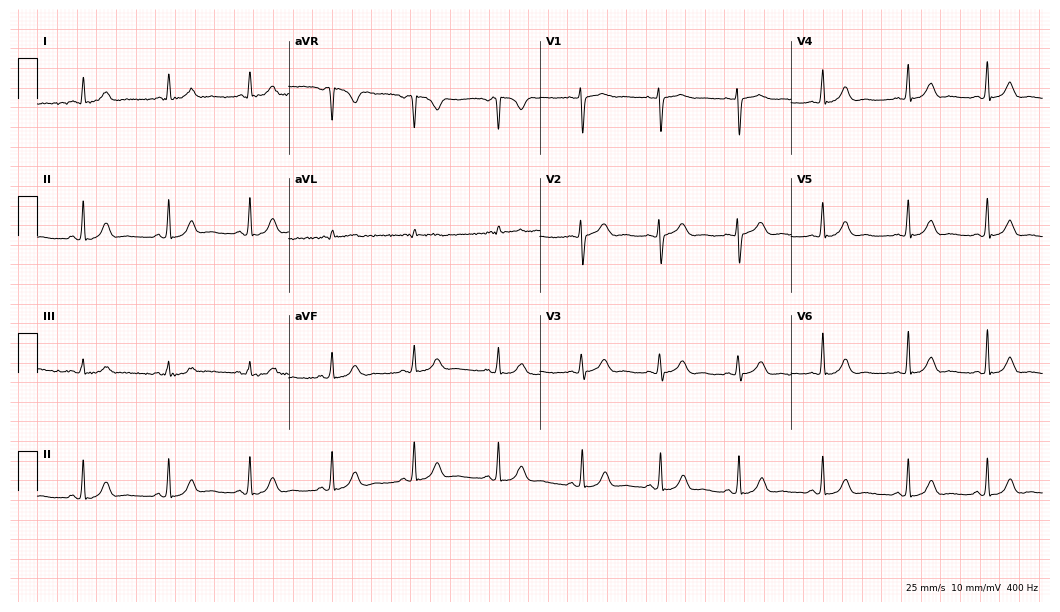
Resting 12-lead electrocardiogram (10.2-second recording at 400 Hz). Patient: a woman, 30 years old. Read as a normal ECG.